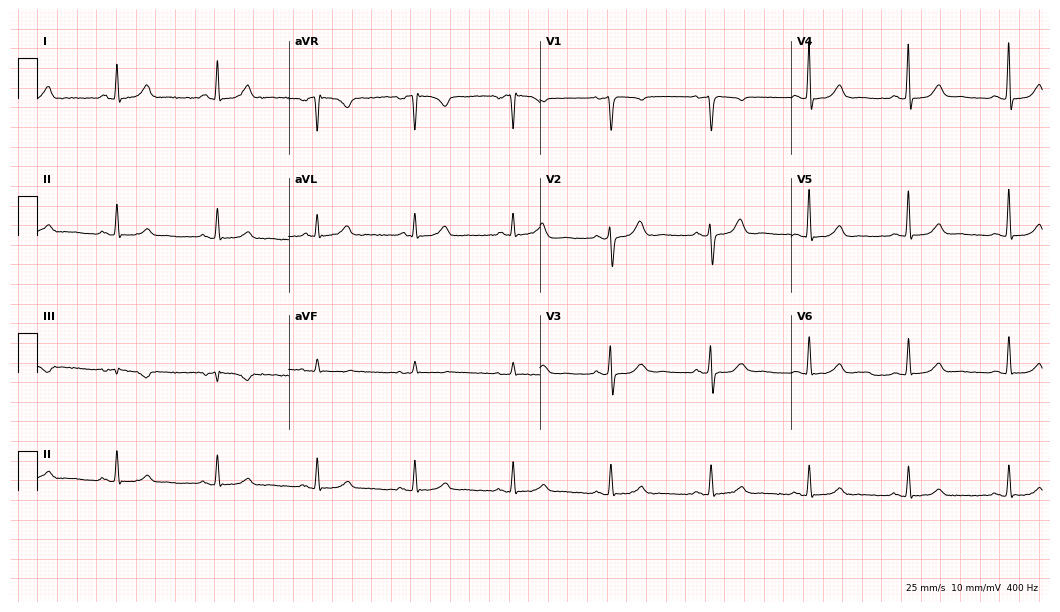
Electrocardiogram, a 60-year-old woman. Overall reading on record: normal ECG.